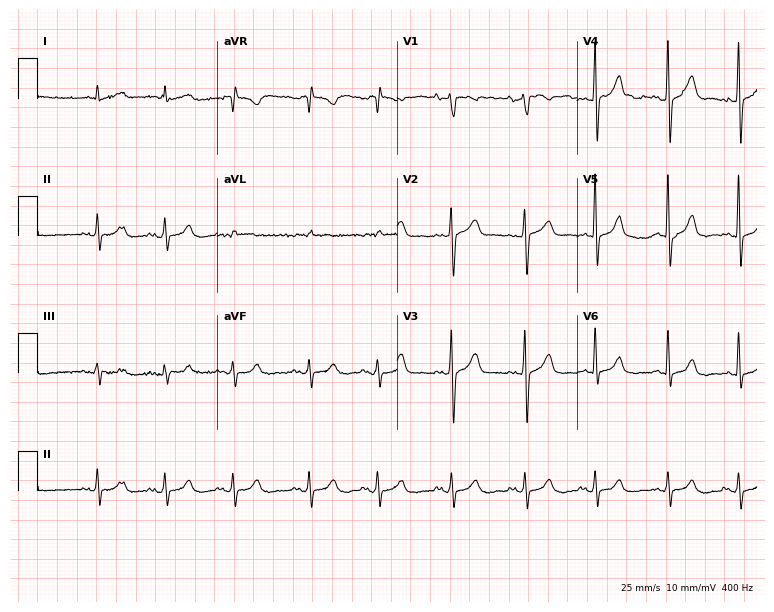
Electrocardiogram (7.3-second recording at 400 Hz), a male, 81 years old. Overall reading on record: normal ECG.